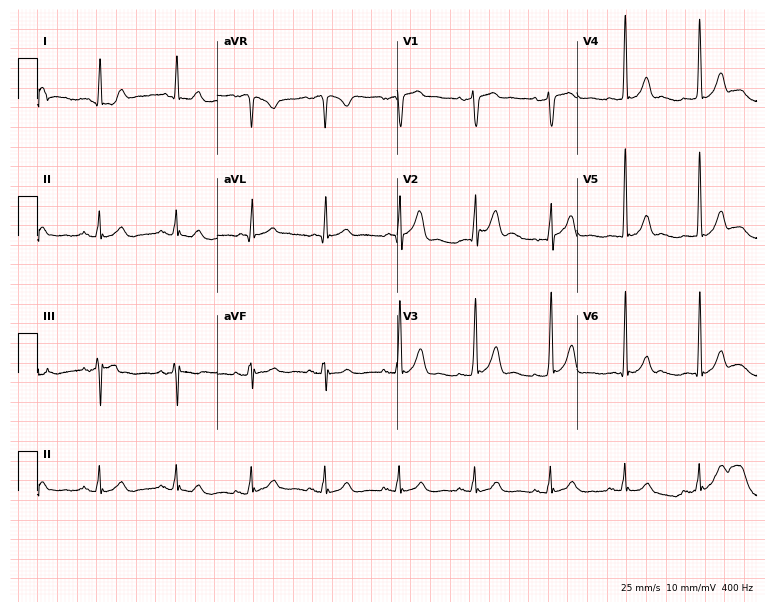
12-lead ECG (7.3-second recording at 400 Hz) from a 50-year-old man. Screened for six findings — first-degree AV block, right bundle branch block, left bundle branch block, sinus bradycardia, atrial fibrillation, sinus tachycardia — none is recorded.